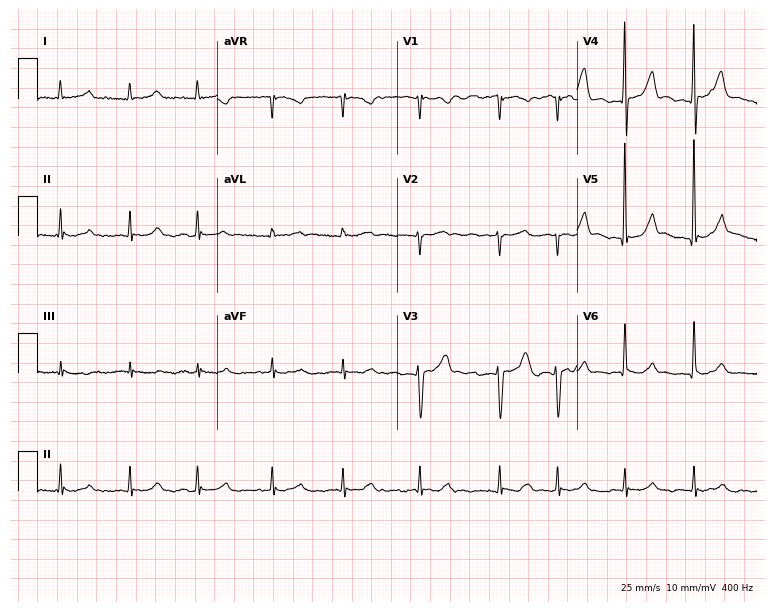
12-lead ECG (7.3-second recording at 400 Hz) from a 76-year-old male. Labelled as a normal ECG.